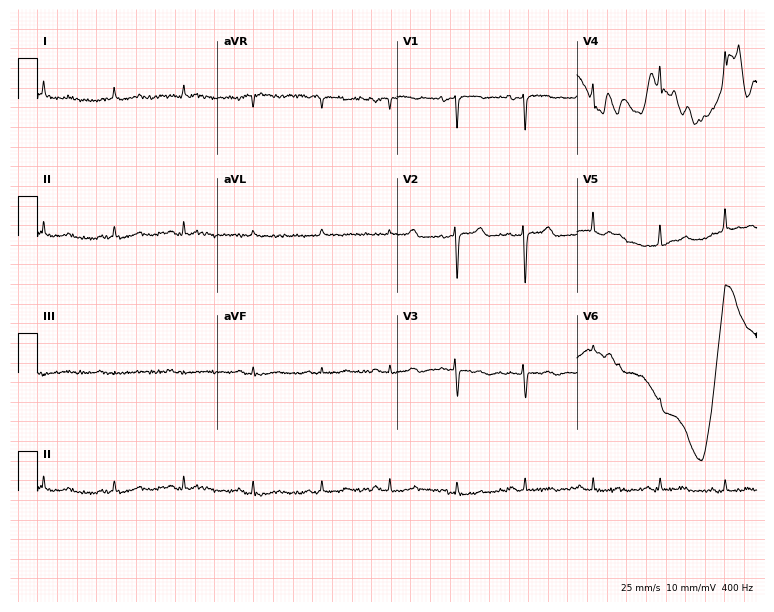
Resting 12-lead electrocardiogram. Patient: a 78-year-old female. None of these six findings is recorded: first-degree AV block, right bundle branch block, left bundle branch block, sinus bradycardia, atrial fibrillation, sinus tachycardia.